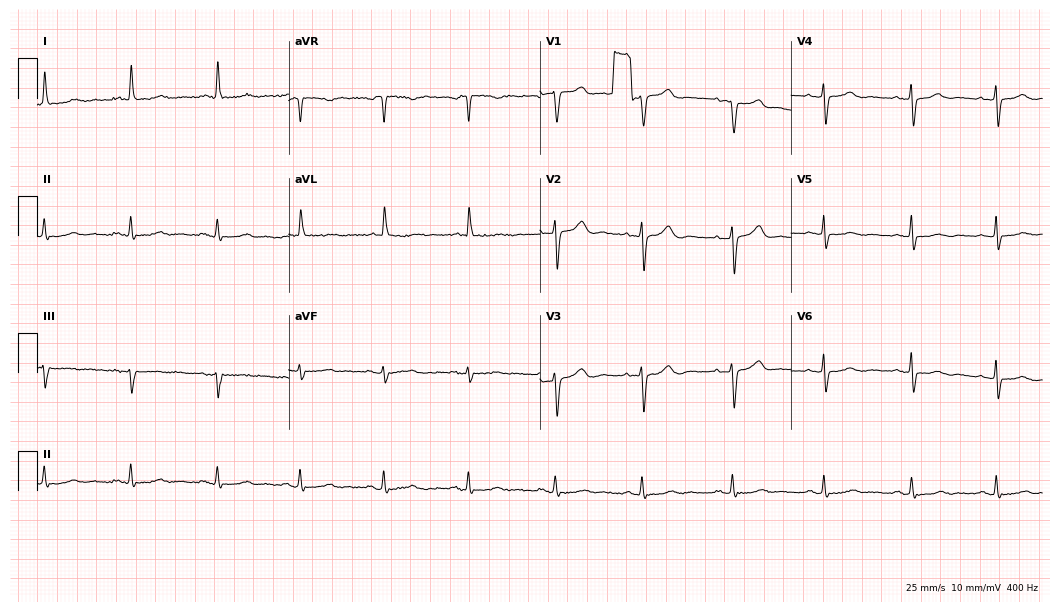
ECG (10.2-second recording at 400 Hz) — a man, 72 years old. Screened for six findings — first-degree AV block, right bundle branch block, left bundle branch block, sinus bradycardia, atrial fibrillation, sinus tachycardia — none is recorded. Other findings, if any, are not listed.